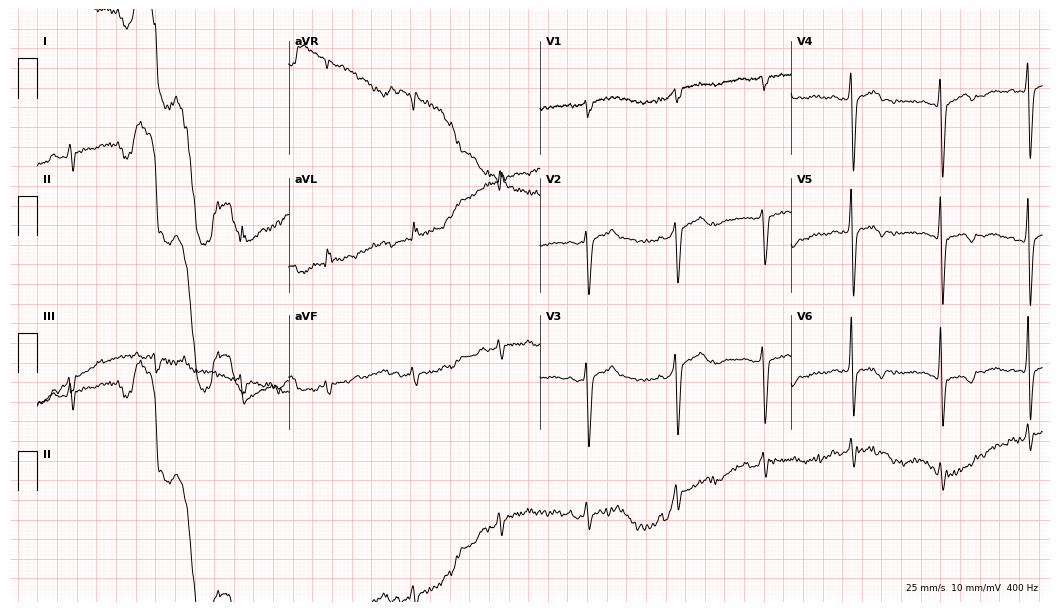
Resting 12-lead electrocardiogram (10.2-second recording at 400 Hz). Patient: a 67-year-old female. None of these six findings is recorded: first-degree AV block, right bundle branch block (RBBB), left bundle branch block (LBBB), sinus bradycardia, atrial fibrillation (AF), sinus tachycardia.